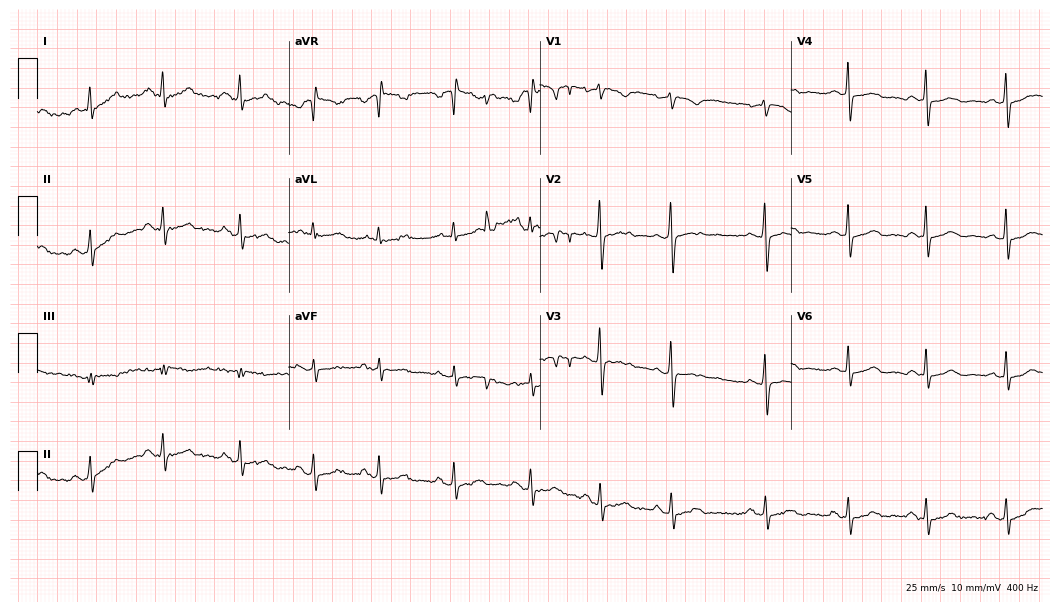
Electrocardiogram (10.2-second recording at 400 Hz), a 30-year-old female. Overall reading on record: normal ECG.